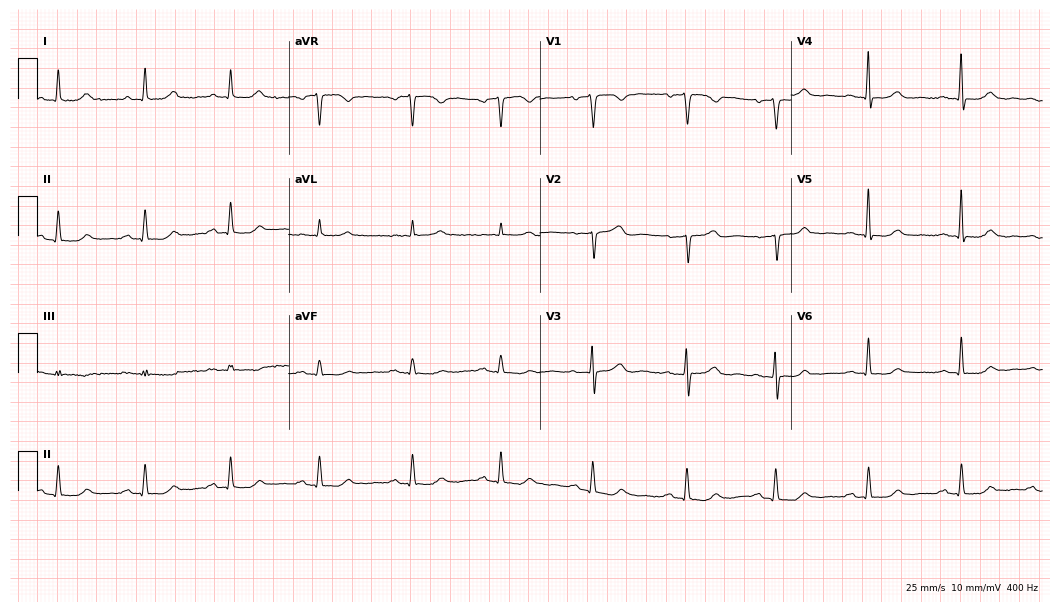
ECG — a 63-year-old female. Screened for six findings — first-degree AV block, right bundle branch block, left bundle branch block, sinus bradycardia, atrial fibrillation, sinus tachycardia — none is recorded.